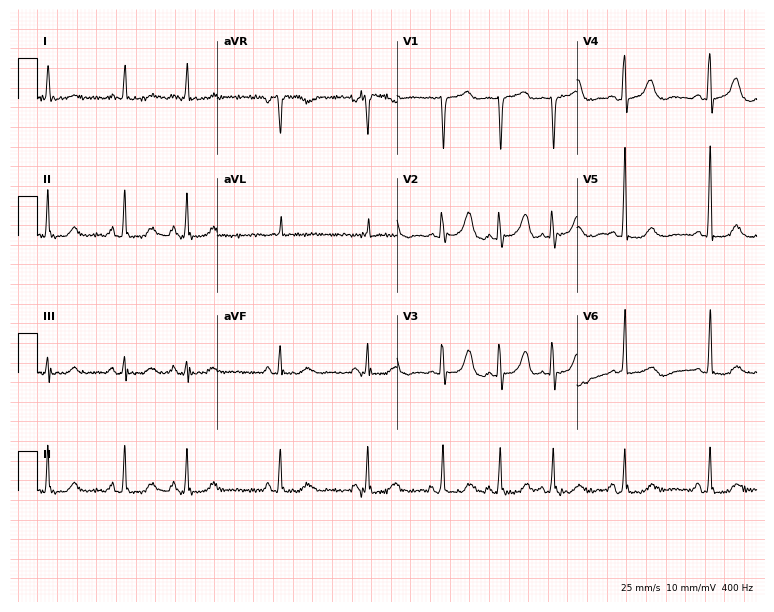
12-lead ECG (7.3-second recording at 400 Hz) from a woman, 82 years old. Screened for six findings — first-degree AV block, right bundle branch block, left bundle branch block, sinus bradycardia, atrial fibrillation, sinus tachycardia — none is recorded. Other findings, if any, are not listed.